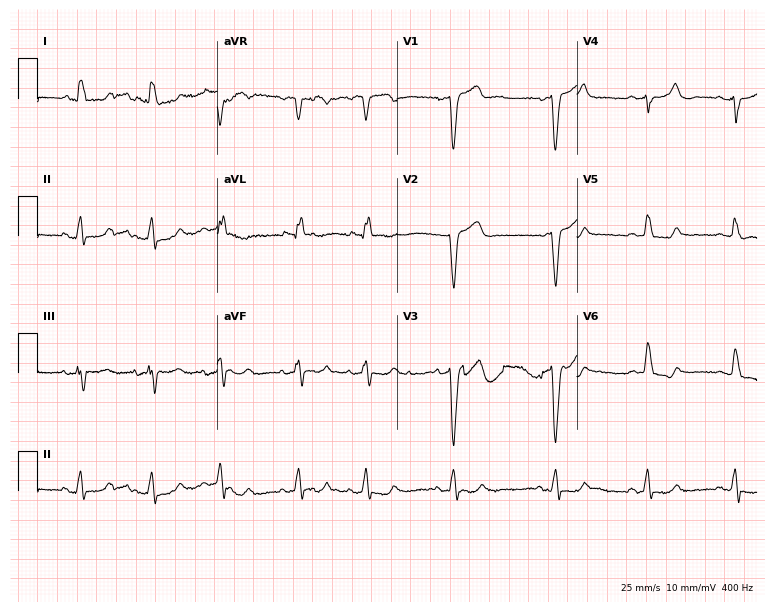
Electrocardiogram, a 79-year-old female patient. Of the six screened findings (first-degree AV block, right bundle branch block (RBBB), left bundle branch block (LBBB), sinus bradycardia, atrial fibrillation (AF), sinus tachycardia), none is recorded. Only these six findings were labelled.